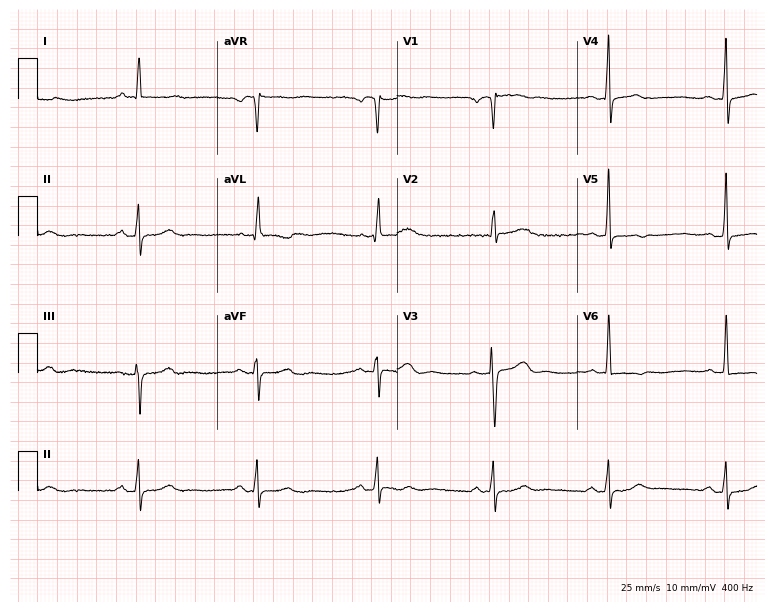
12-lead ECG from a male patient, 55 years old. Shows sinus bradycardia (a sinus rate of 50 beats per minute or less).